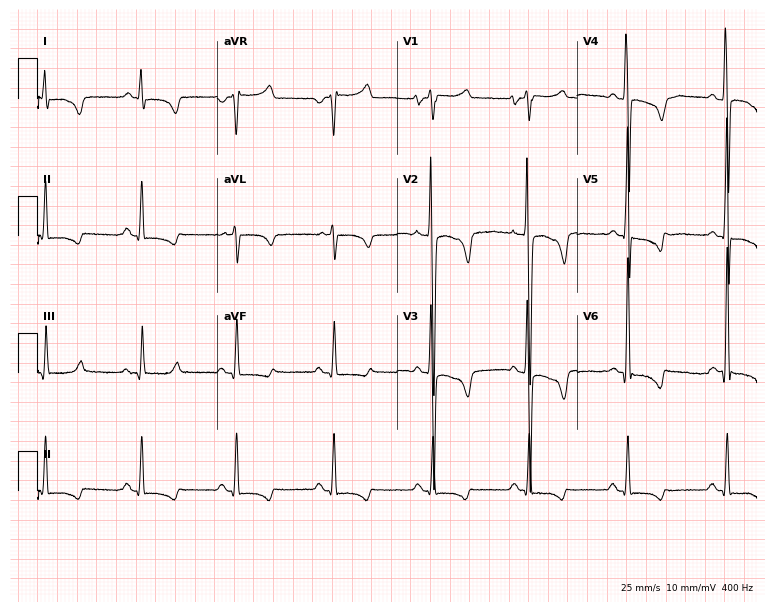
12-lead ECG from a 27-year-old male. No first-degree AV block, right bundle branch block, left bundle branch block, sinus bradycardia, atrial fibrillation or sinus tachycardia recorded for this tracing. Other findings, if any, are not listed.